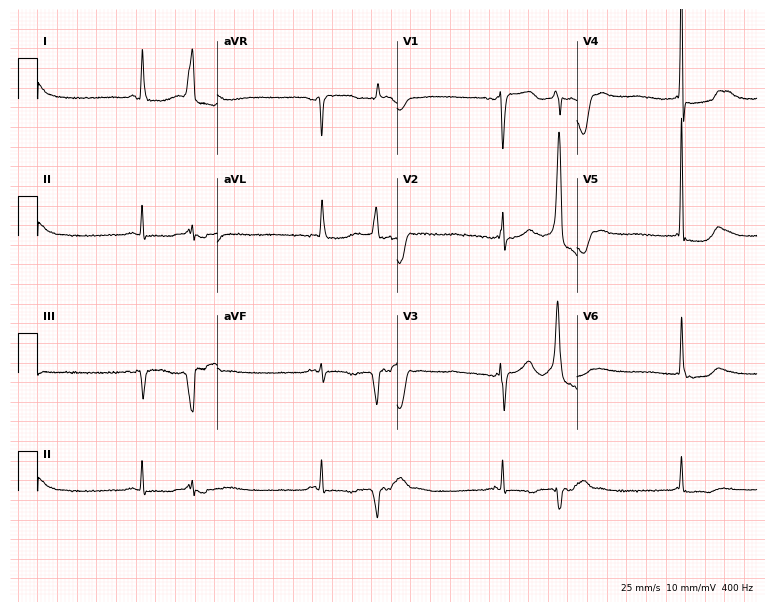
12-lead ECG (7.3-second recording at 400 Hz) from a woman, 84 years old. Screened for six findings — first-degree AV block, right bundle branch block, left bundle branch block, sinus bradycardia, atrial fibrillation, sinus tachycardia — none is recorded.